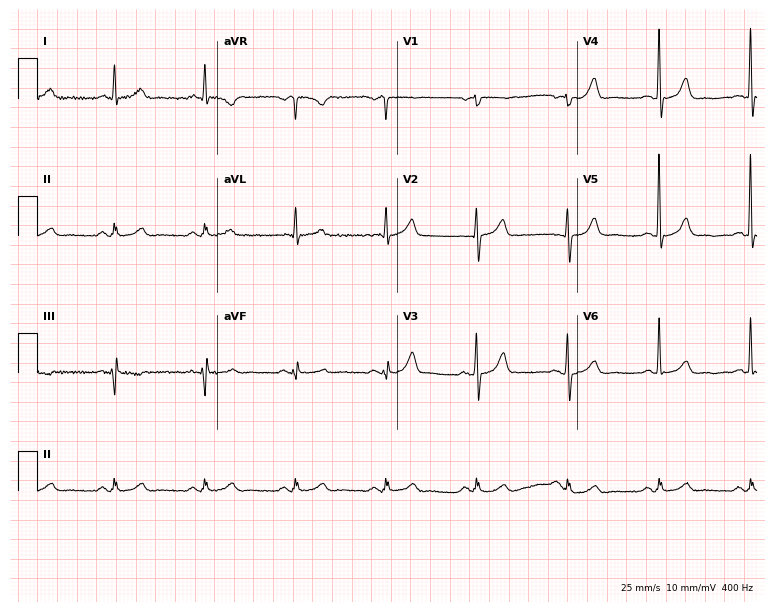
12-lead ECG from a 70-year-old man. Labelled as a normal ECG.